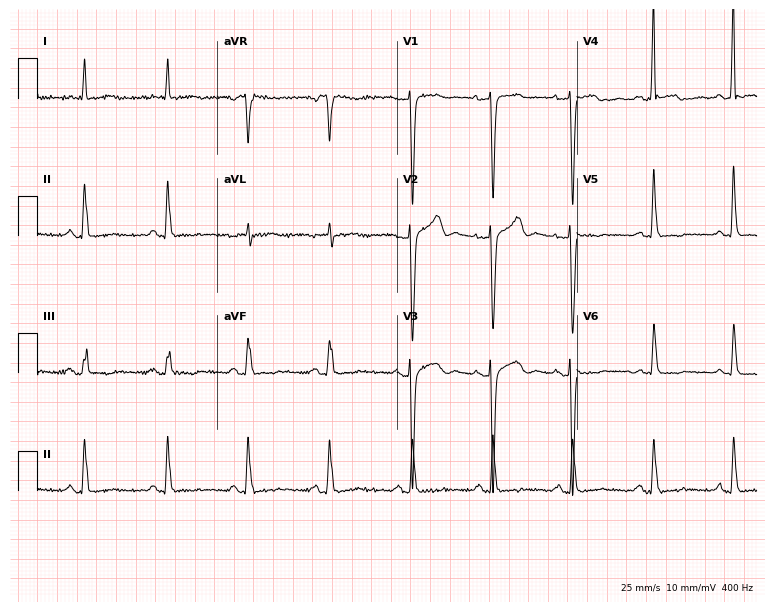
12-lead ECG from a female, 58 years old. Screened for six findings — first-degree AV block, right bundle branch block, left bundle branch block, sinus bradycardia, atrial fibrillation, sinus tachycardia — none is recorded. Findings outside these six are not listed.